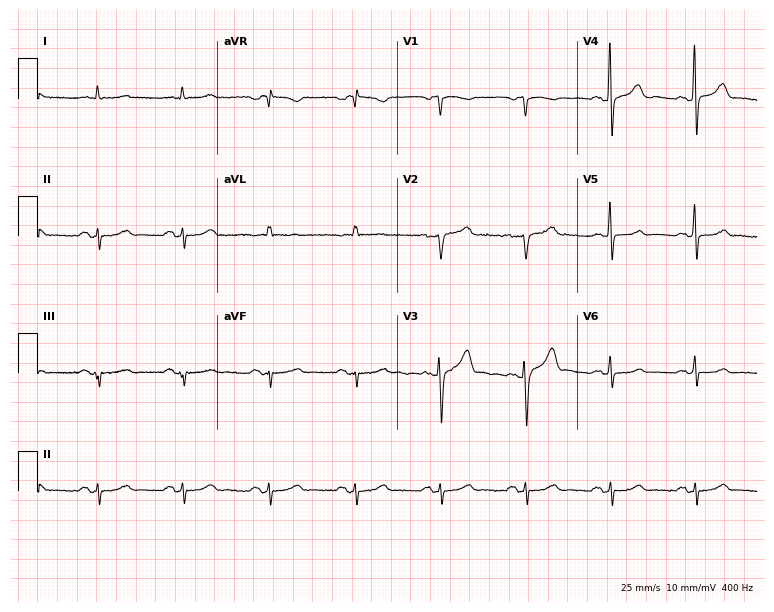
Resting 12-lead electrocardiogram. Patient: a 65-year-old male. None of these six findings is recorded: first-degree AV block, right bundle branch block, left bundle branch block, sinus bradycardia, atrial fibrillation, sinus tachycardia. Other findings, if any, are not listed.